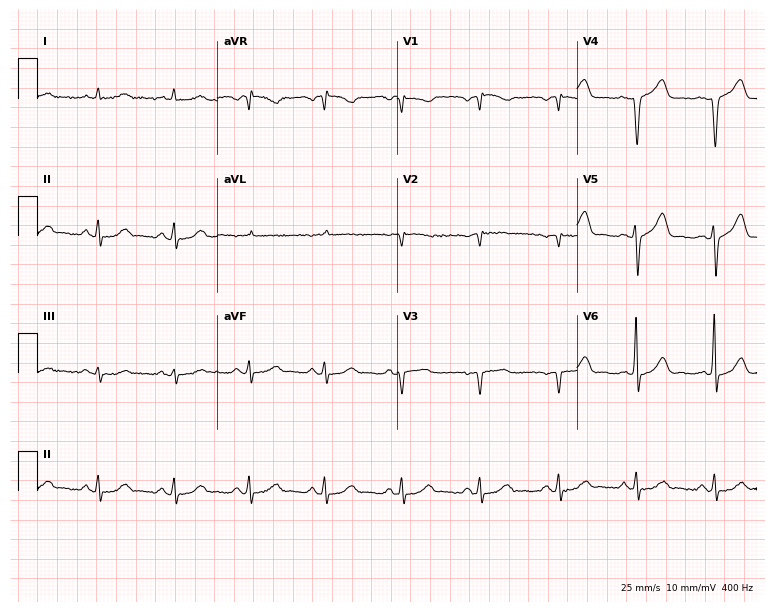
Resting 12-lead electrocardiogram. Patient: a male, 59 years old. None of these six findings is recorded: first-degree AV block, right bundle branch block, left bundle branch block, sinus bradycardia, atrial fibrillation, sinus tachycardia. Findings outside these six are not listed.